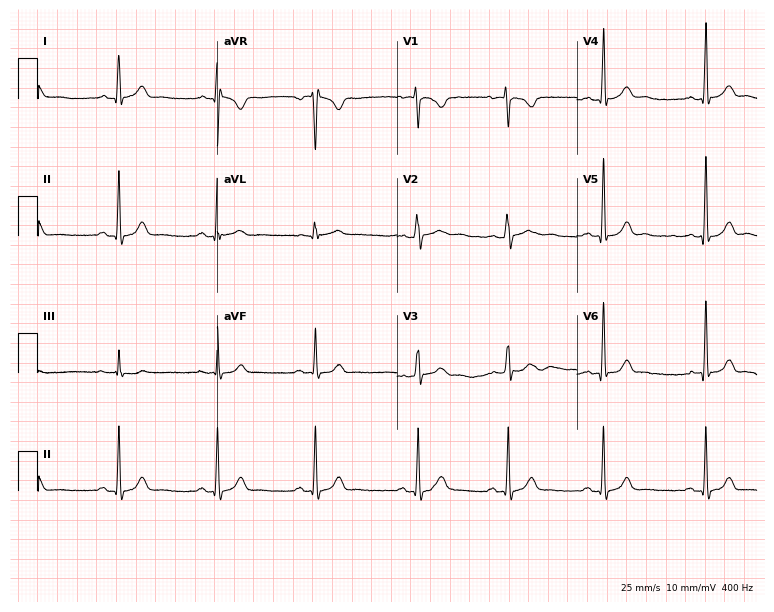
Electrocardiogram, a woman, 28 years old. Of the six screened findings (first-degree AV block, right bundle branch block, left bundle branch block, sinus bradycardia, atrial fibrillation, sinus tachycardia), none is recorded.